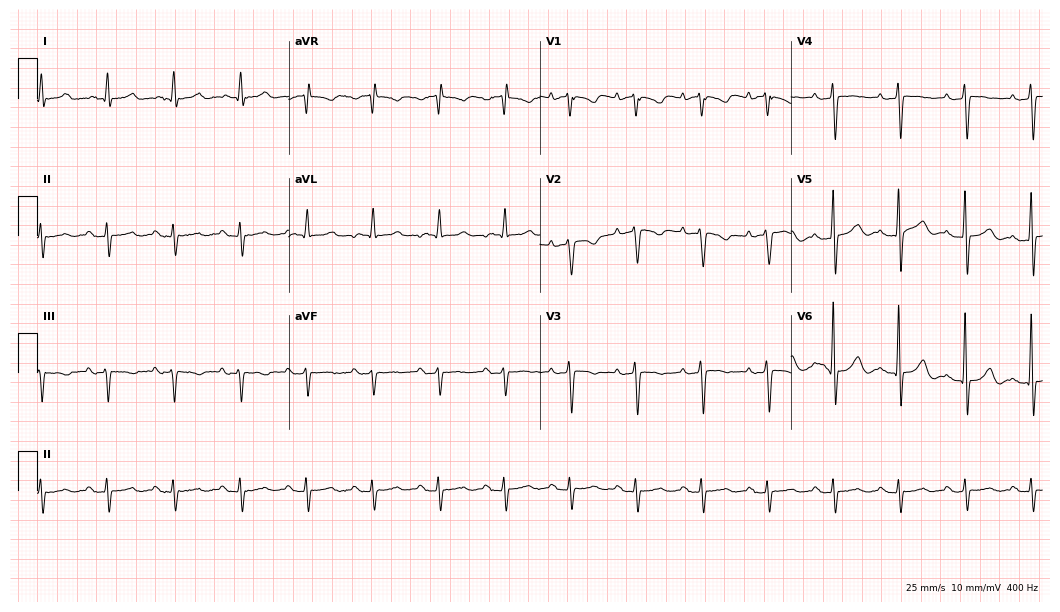
Resting 12-lead electrocardiogram. Patient: a male, 82 years old. None of these six findings is recorded: first-degree AV block, right bundle branch block, left bundle branch block, sinus bradycardia, atrial fibrillation, sinus tachycardia. Only these six findings were labelled.